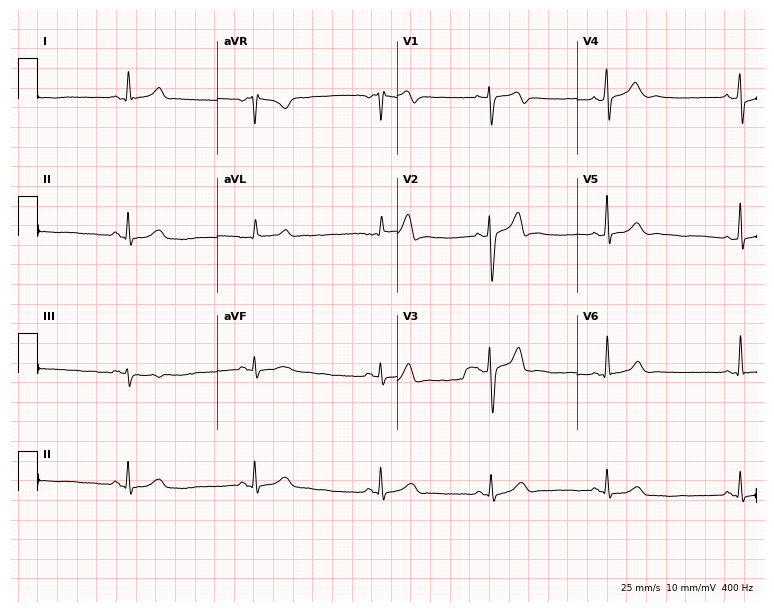
Standard 12-lead ECG recorded from a 32-year-old male. None of these six findings is recorded: first-degree AV block, right bundle branch block, left bundle branch block, sinus bradycardia, atrial fibrillation, sinus tachycardia.